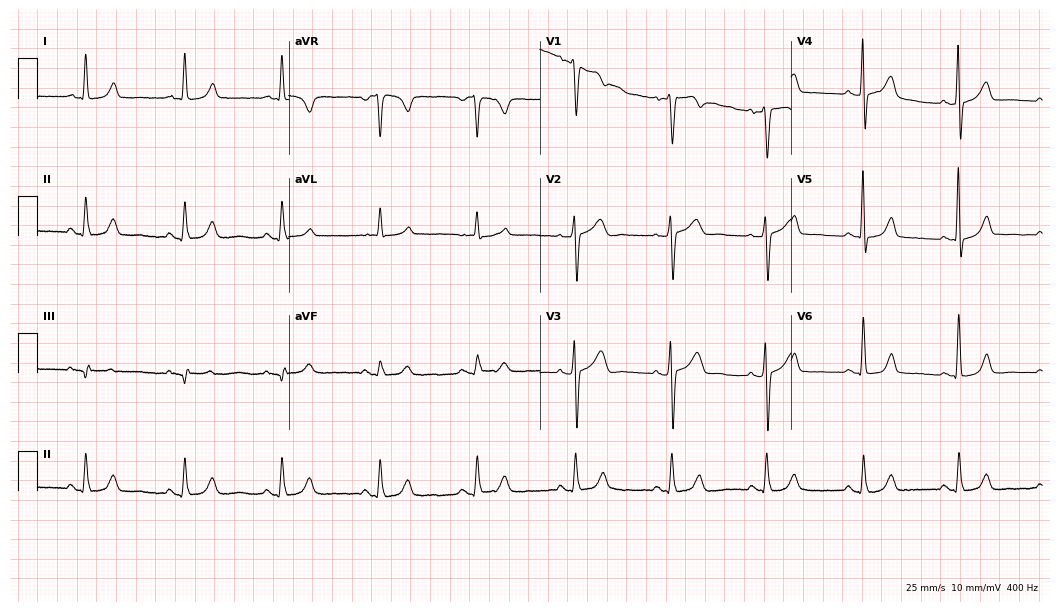
Standard 12-lead ECG recorded from a 74-year-old male. Read as a normal ECG.